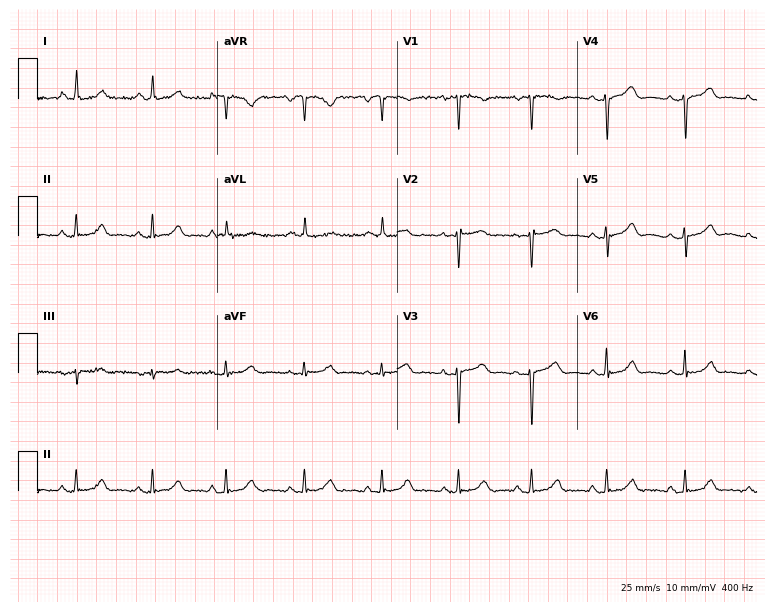
ECG (7.3-second recording at 400 Hz) — a woman, 45 years old. Screened for six findings — first-degree AV block, right bundle branch block (RBBB), left bundle branch block (LBBB), sinus bradycardia, atrial fibrillation (AF), sinus tachycardia — none is recorded.